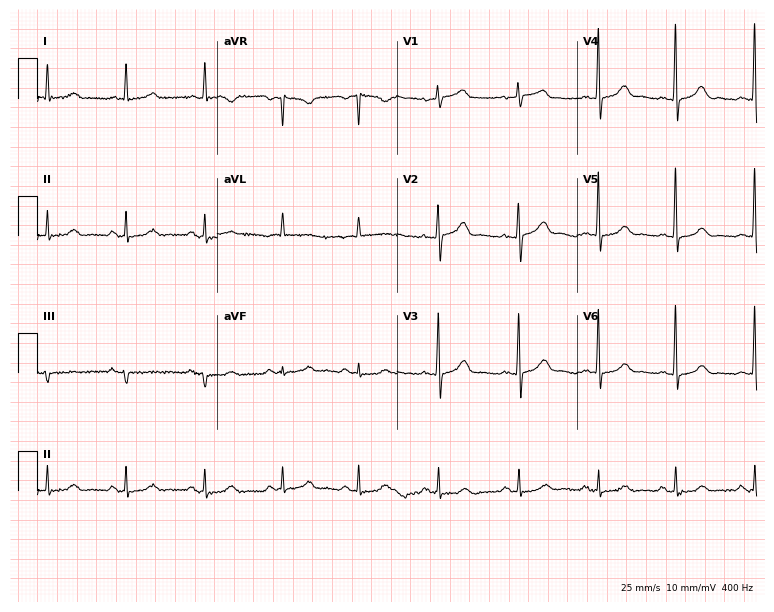
Resting 12-lead electrocardiogram (7.3-second recording at 400 Hz). Patient: a female, 78 years old. Read as a normal ECG.